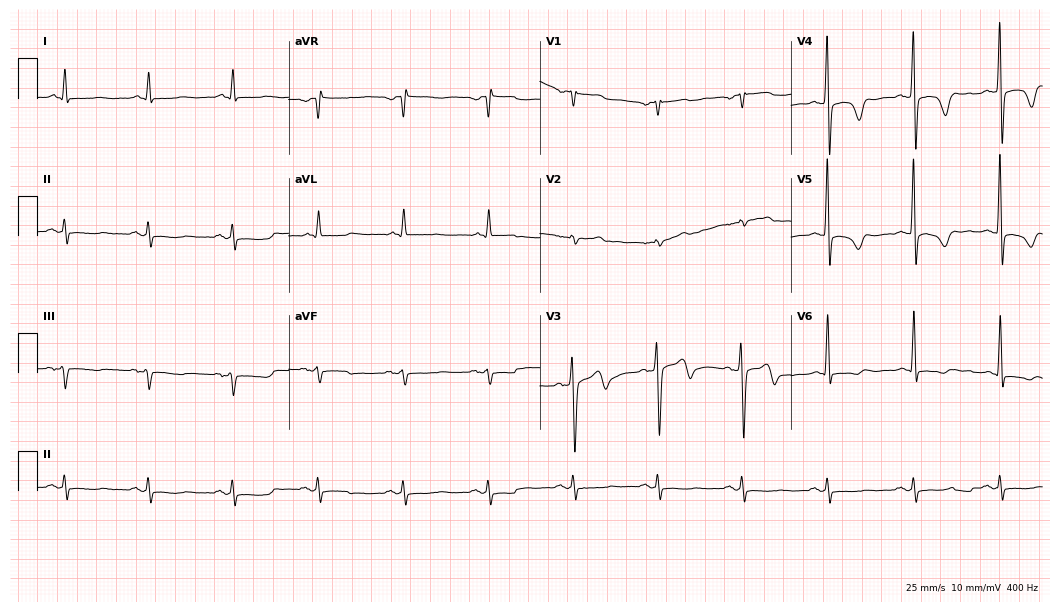
12-lead ECG from a 63-year-old man (10.2-second recording at 400 Hz). No first-degree AV block, right bundle branch block, left bundle branch block, sinus bradycardia, atrial fibrillation or sinus tachycardia recorded for this tracing.